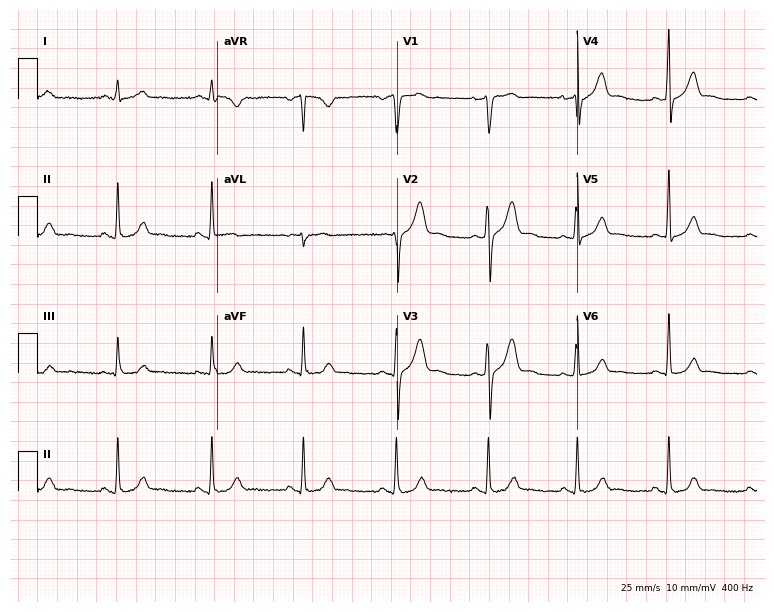
ECG (7.3-second recording at 400 Hz) — a 45-year-old man. Screened for six findings — first-degree AV block, right bundle branch block (RBBB), left bundle branch block (LBBB), sinus bradycardia, atrial fibrillation (AF), sinus tachycardia — none is recorded. Findings outside these six are not listed.